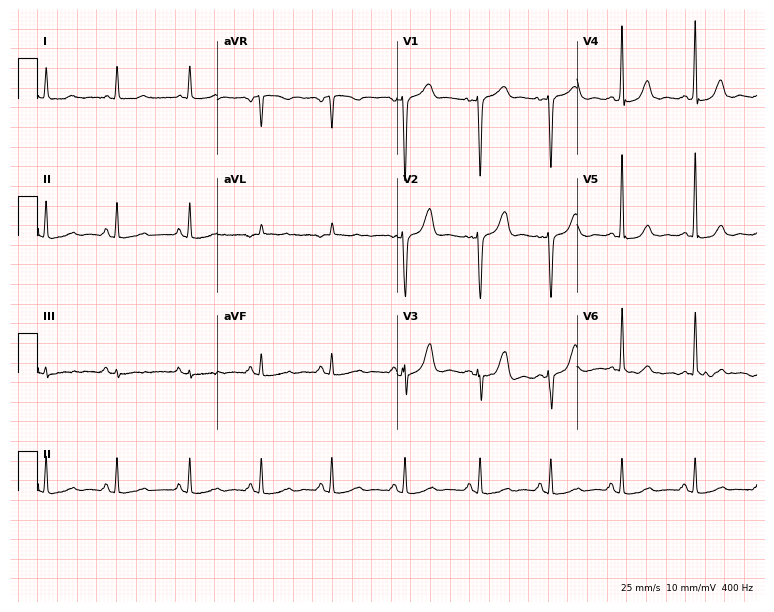
Resting 12-lead electrocardiogram (7.3-second recording at 400 Hz). Patient: a female, 48 years old. Read as a normal ECG.